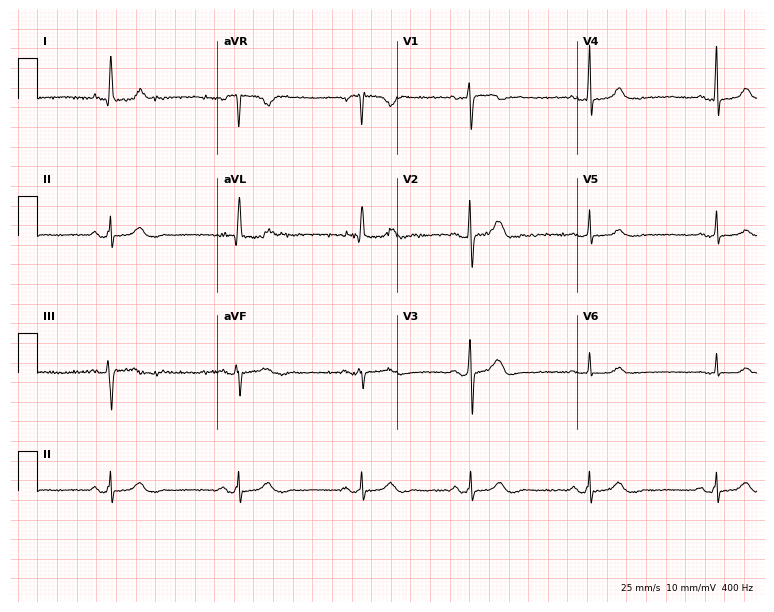
Standard 12-lead ECG recorded from a female patient, 47 years old (7.3-second recording at 400 Hz). The tracing shows sinus bradycardia (a sinus rate of 50 beats per minute or less).